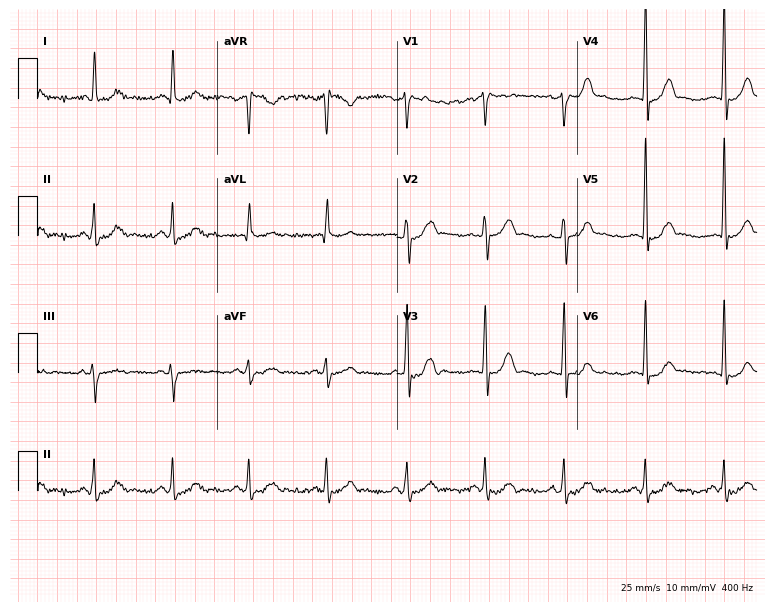
Electrocardiogram, a male, 32 years old. Of the six screened findings (first-degree AV block, right bundle branch block, left bundle branch block, sinus bradycardia, atrial fibrillation, sinus tachycardia), none is recorded.